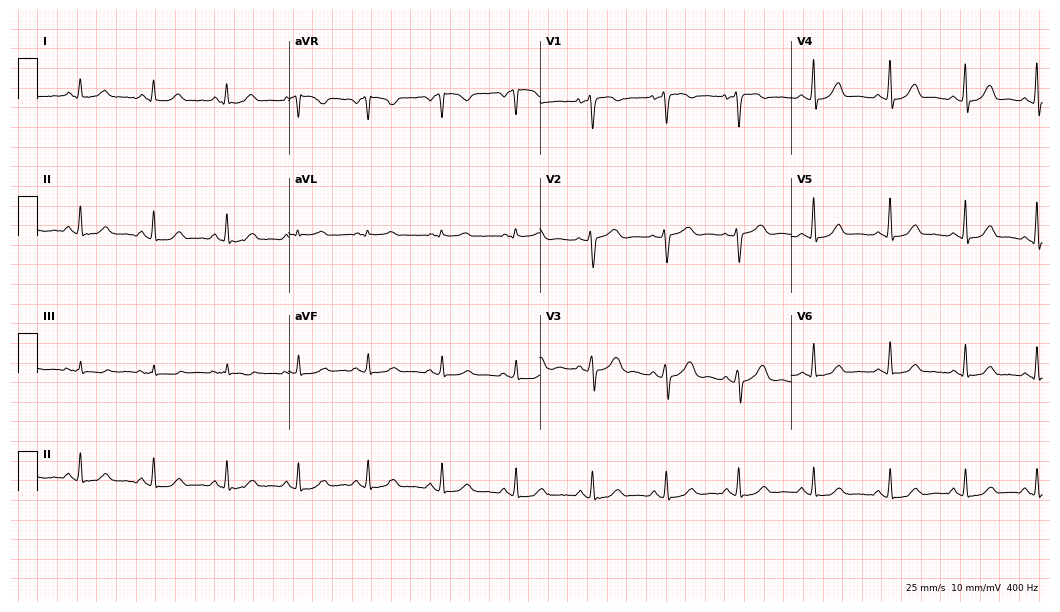
ECG — a 44-year-old female. Labelled as a normal ECG.